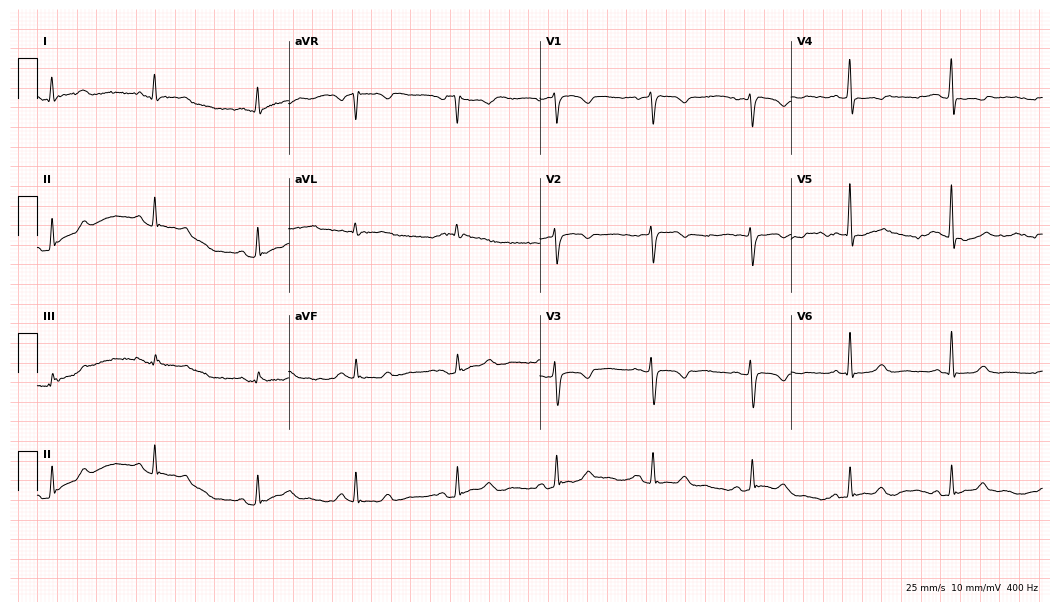
Standard 12-lead ECG recorded from a 46-year-old female patient (10.2-second recording at 400 Hz). None of these six findings is recorded: first-degree AV block, right bundle branch block, left bundle branch block, sinus bradycardia, atrial fibrillation, sinus tachycardia. Only these six findings were labelled.